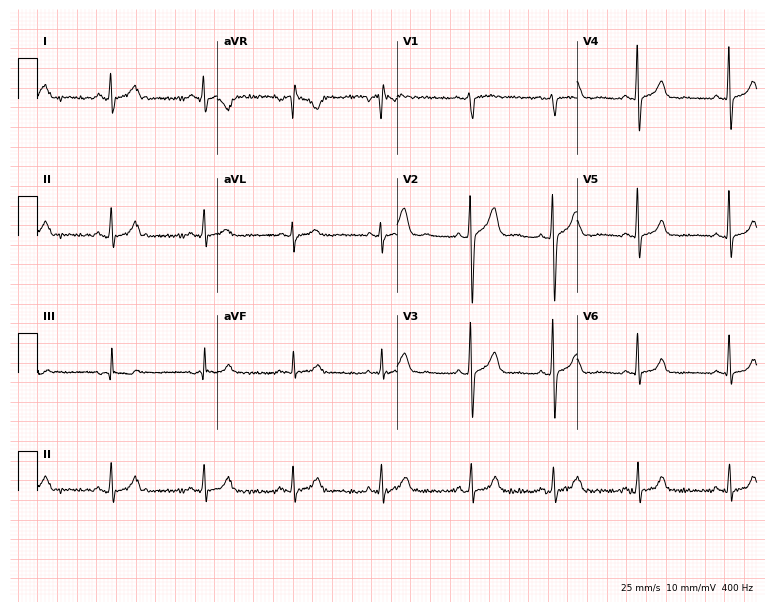
Resting 12-lead electrocardiogram (7.3-second recording at 400 Hz). Patient: a female, 29 years old. None of these six findings is recorded: first-degree AV block, right bundle branch block (RBBB), left bundle branch block (LBBB), sinus bradycardia, atrial fibrillation (AF), sinus tachycardia.